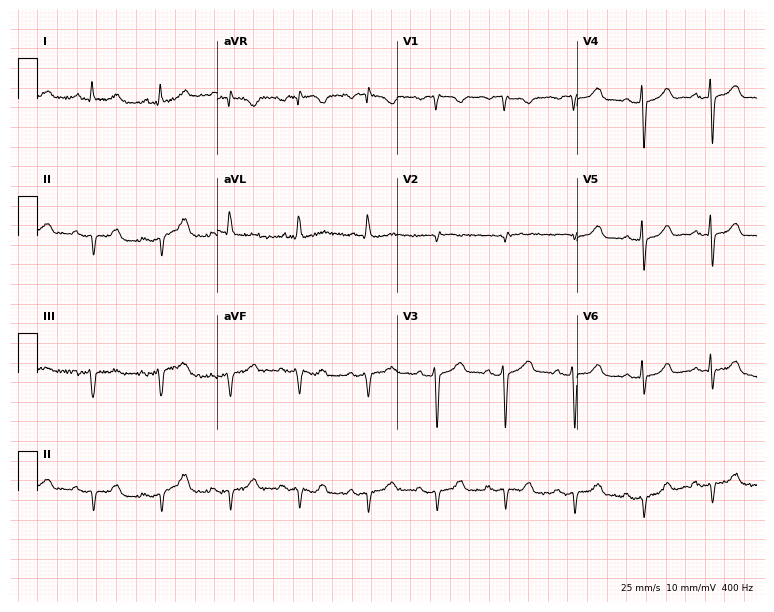
12-lead ECG from a 65-year-old woman. No first-degree AV block, right bundle branch block, left bundle branch block, sinus bradycardia, atrial fibrillation or sinus tachycardia recorded for this tracing. Other findings, if any, are not listed.